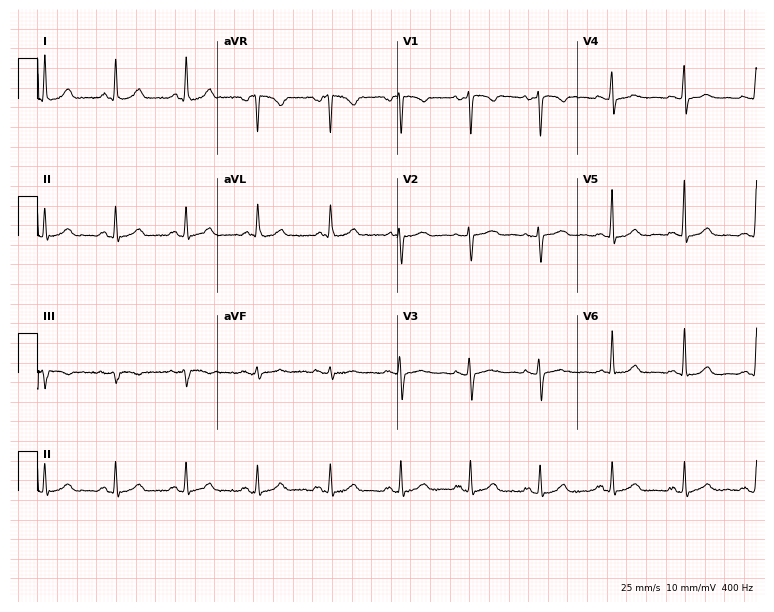
Electrocardiogram, a 42-year-old female patient. Overall reading on record: normal ECG.